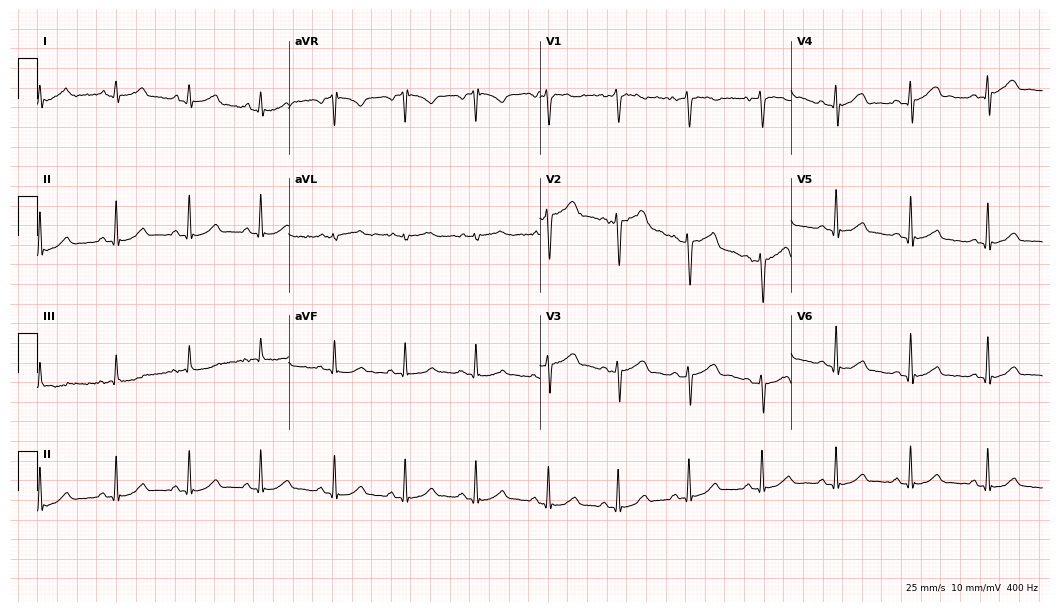
Standard 12-lead ECG recorded from a man, 48 years old (10.2-second recording at 400 Hz). Read as a normal ECG.